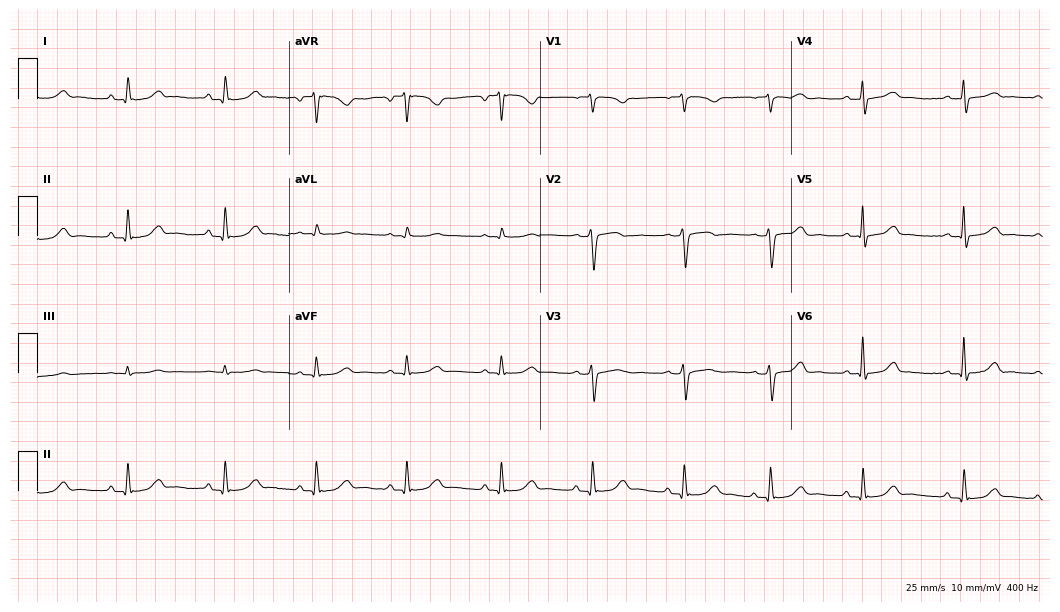
12-lead ECG from a female patient, 46 years old (10.2-second recording at 400 Hz). Recorded interpretation: within normal limits.